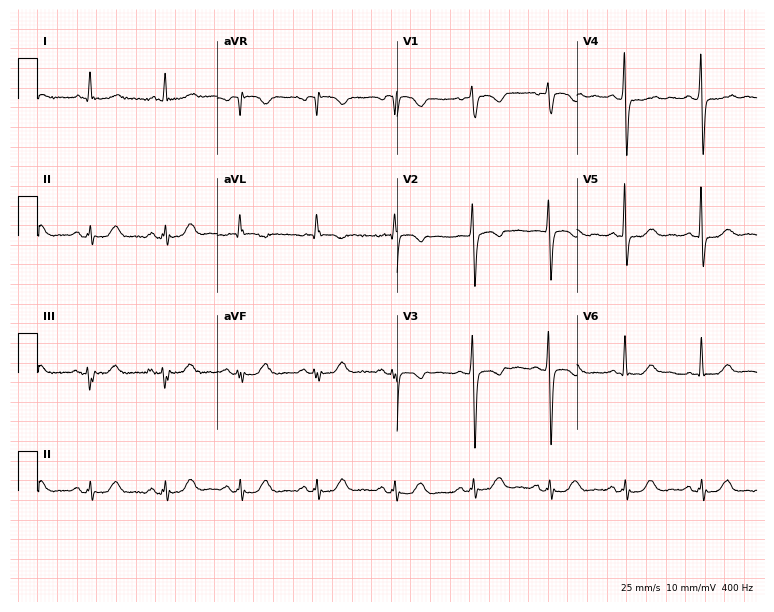
Electrocardiogram (7.3-second recording at 400 Hz), a female, 56 years old. Of the six screened findings (first-degree AV block, right bundle branch block, left bundle branch block, sinus bradycardia, atrial fibrillation, sinus tachycardia), none is recorded. Other findings, if any, are not listed.